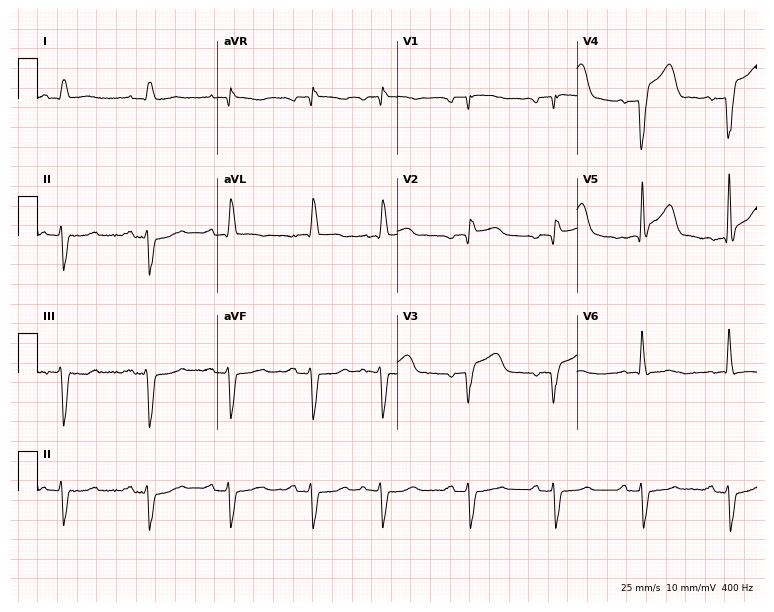
12-lead ECG from a male, 80 years old. No first-degree AV block, right bundle branch block, left bundle branch block, sinus bradycardia, atrial fibrillation or sinus tachycardia recorded for this tracing. Findings outside these six are not listed.